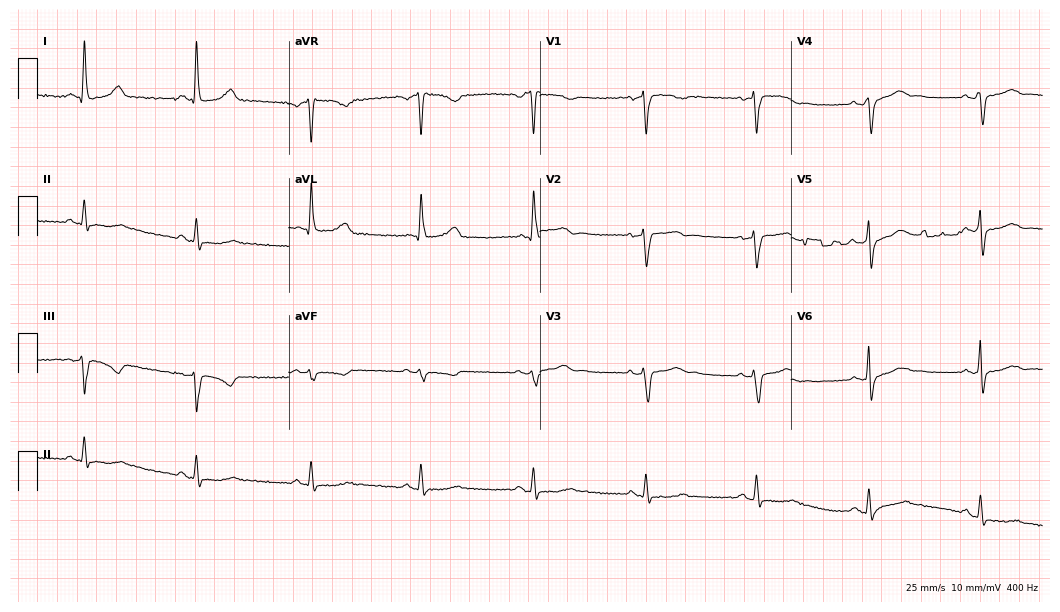
12-lead ECG (10.2-second recording at 400 Hz) from a woman, 60 years old. Screened for six findings — first-degree AV block, right bundle branch block, left bundle branch block, sinus bradycardia, atrial fibrillation, sinus tachycardia — none is recorded. Findings outside these six are not listed.